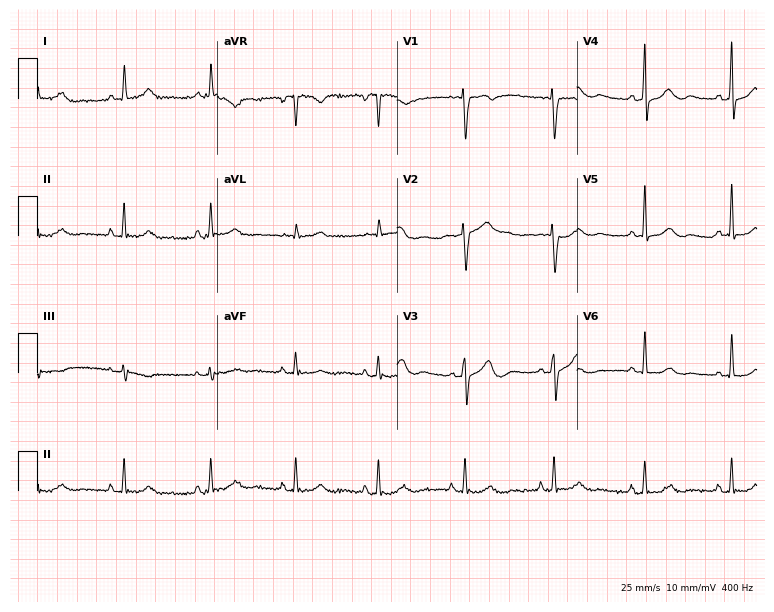
ECG (7.3-second recording at 400 Hz) — a woman, 52 years old. Screened for six findings — first-degree AV block, right bundle branch block, left bundle branch block, sinus bradycardia, atrial fibrillation, sinus tachycardia — none is recorded.